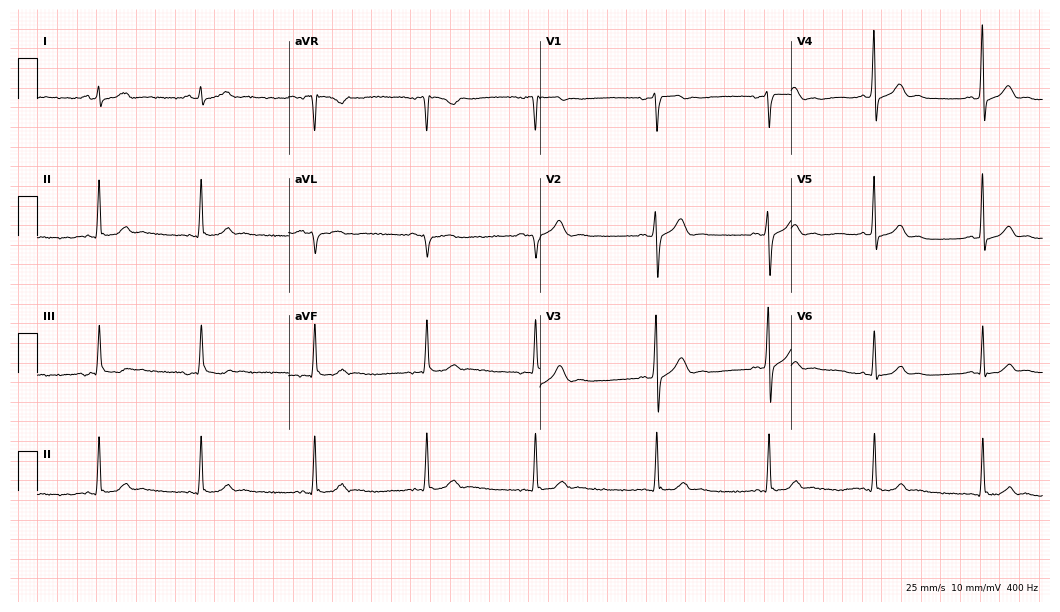
ECG (10.2-second recording at 400 Hz) — a 26-year-old man. Screened for six findings — first-degree AV block, right bundle branch block, left bundle branch block, sinus bradycardia, atrial fibrillation, sinus tachycardia — none is recorded. Only these six findings were labelled.